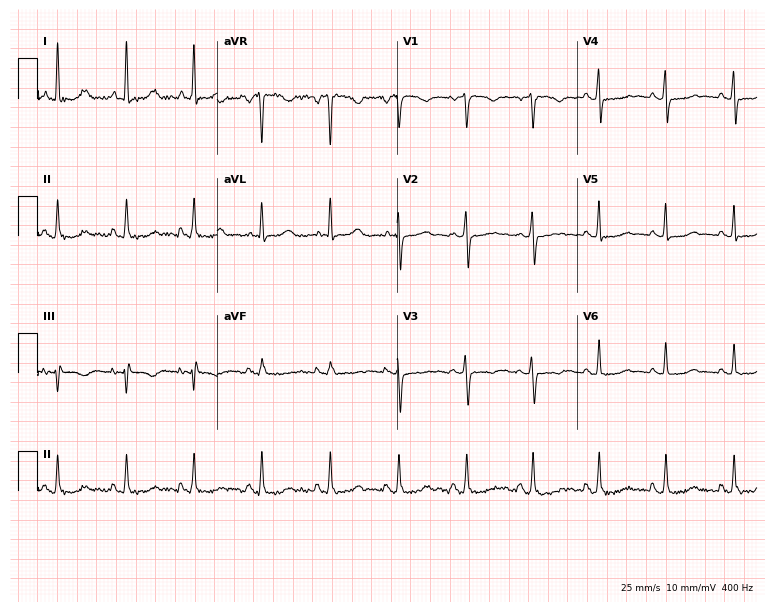
ECG (7.3-second recording at 400 Hz) — a female patient, 57 years old. Screened for six findings — first-degree AV block, right bundle branch block (RBBB), left bundle branch block (LBBB), sinus bradycardia, atrial fibrillation (AF), sinus tachycardia — none is recorded. Findings outside these six are not listed.